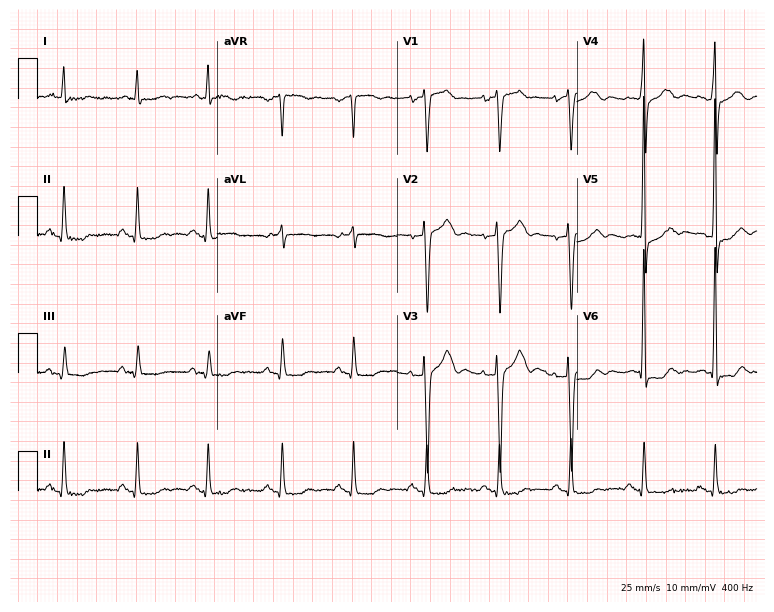
Resting 12-lead electrocardiogram. Patient: an 80-year-old male. Read as a normal ECG.